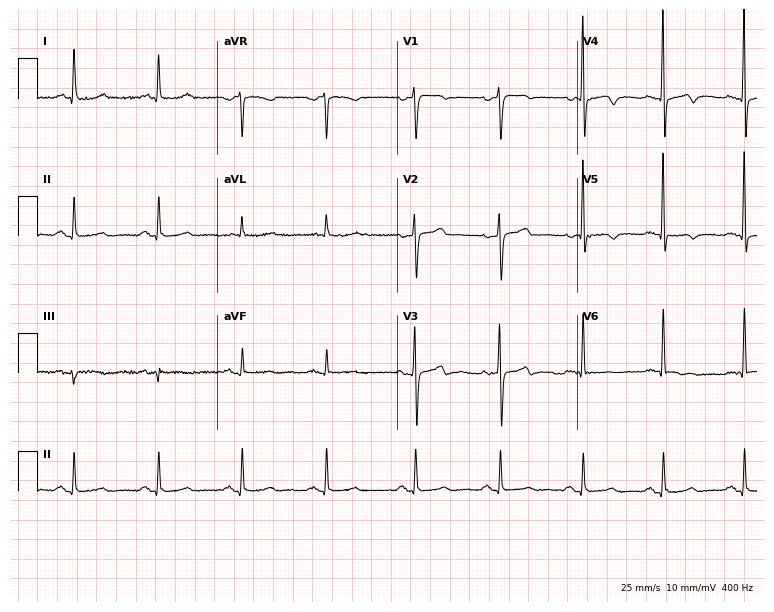
Standard 12-lead ECG recorded from a female patient, 48 years old (7.3-second recording at 400 Hz). None of these six findings is recorded: first-degree AV block, right bundle branch block (RBBB), left bundle branch block (LBBB), sinus bradycardia, atrial fibrillation (AF), sinus tachycardia. Only these six findings were labelled.